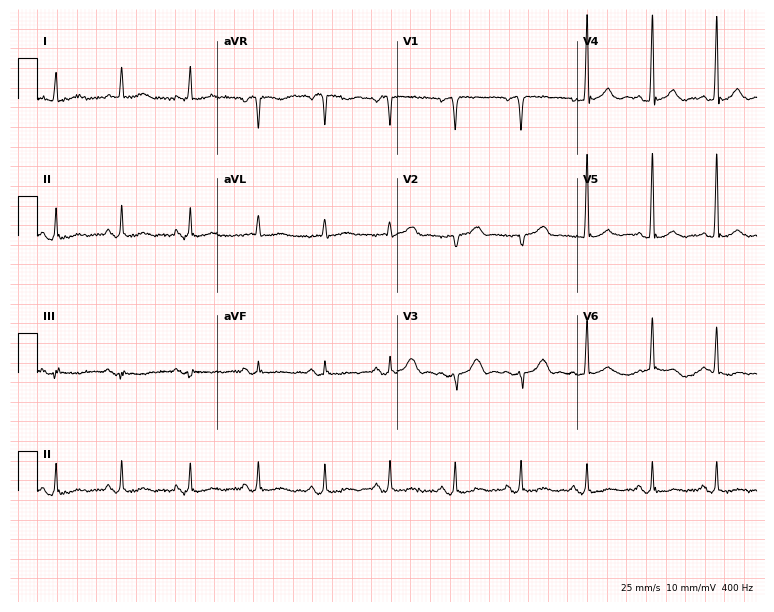
12-lead ECG from a female, 57 years old. No first-degree AV block, right bundle branch block, left bundle branch block, sinus bradycardia, atrial fibrillation or sinus tachycardia recorded for this tracing. Other findings, if any, are not listed.